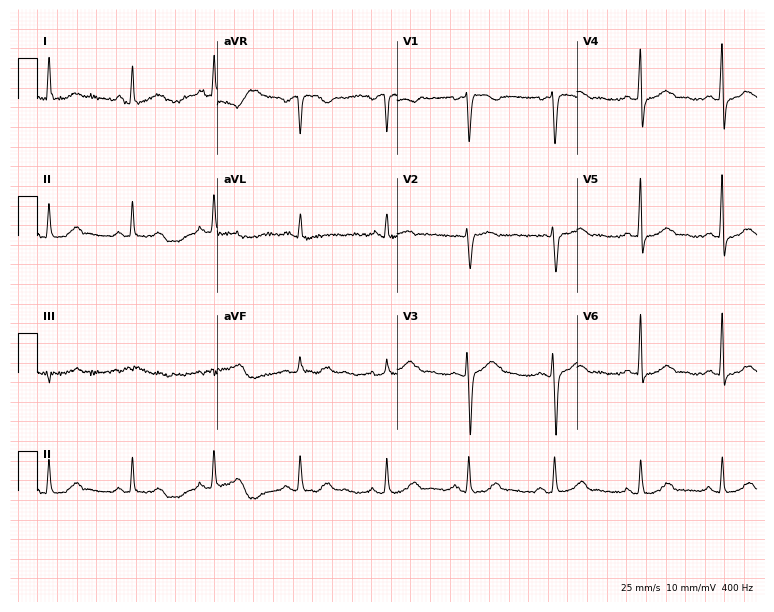
12-lead ECG (7.3-second recording at 400 Hz) from a 28-year-old woman. Labelled as a normal ECG.